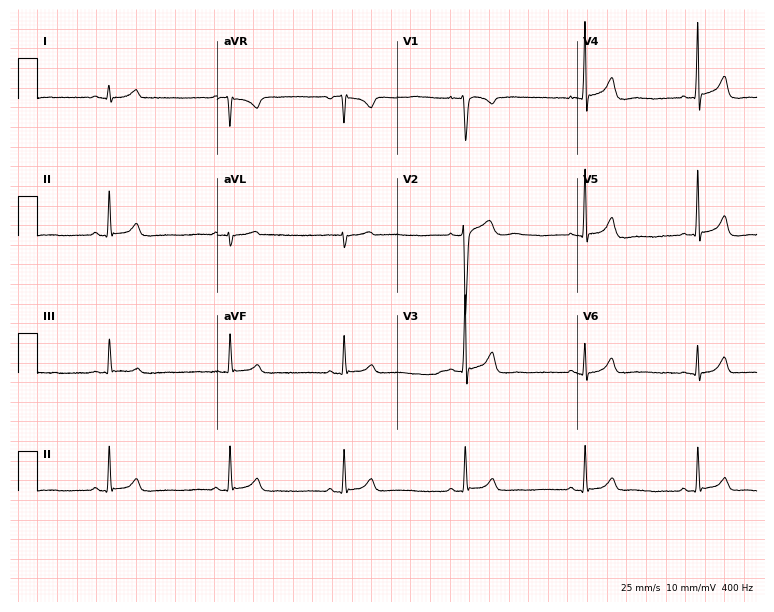
12-lead ECG (7.3-second recording at 400 Hz) from a male, 46 years old. Screened for six findings — first-degree AV block, right bundle branch block, left bundle branch block, sinus bradycardia, atrial fibrillation, sinus tachycardia — none is recorded.